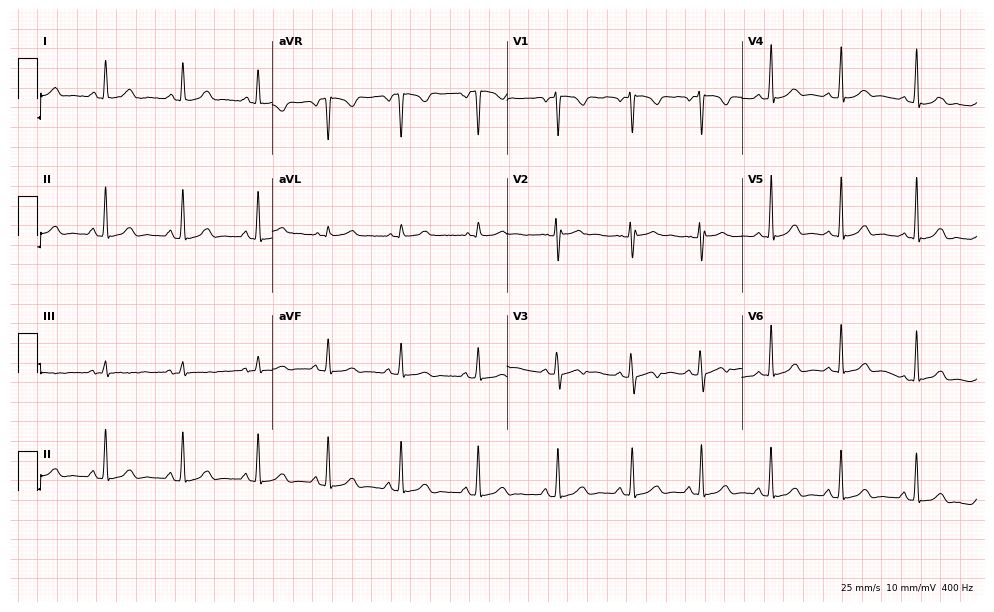
Standard 12-lead ECG recorded from a 22-year-old female (9.6-second recording at 400 Hz). Read as a normal ECG.